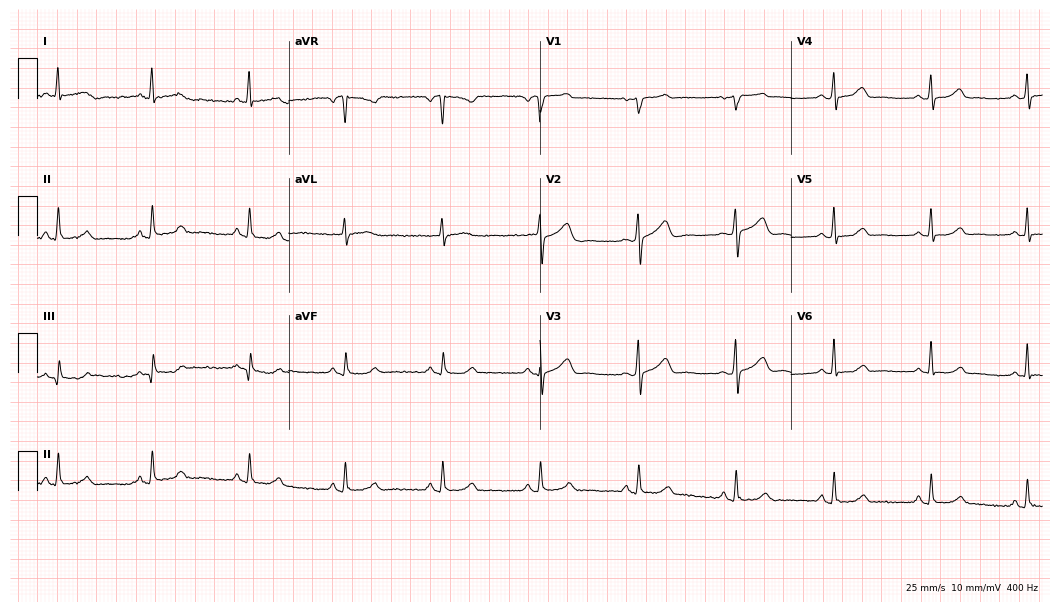
12-lead ECG from a female patient, 67 years old. Labelled as a normal ECG.